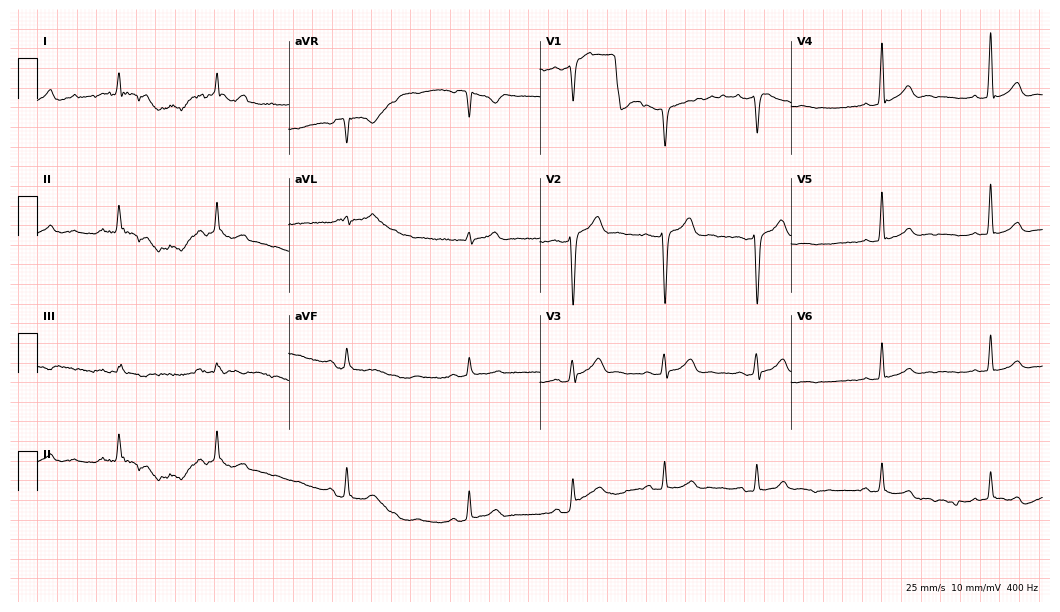
Resting 12-lead electrocardiogram (10.2-second recording at 400 Hz). Patient: a 30-year-old male. Read as a normal ECG.